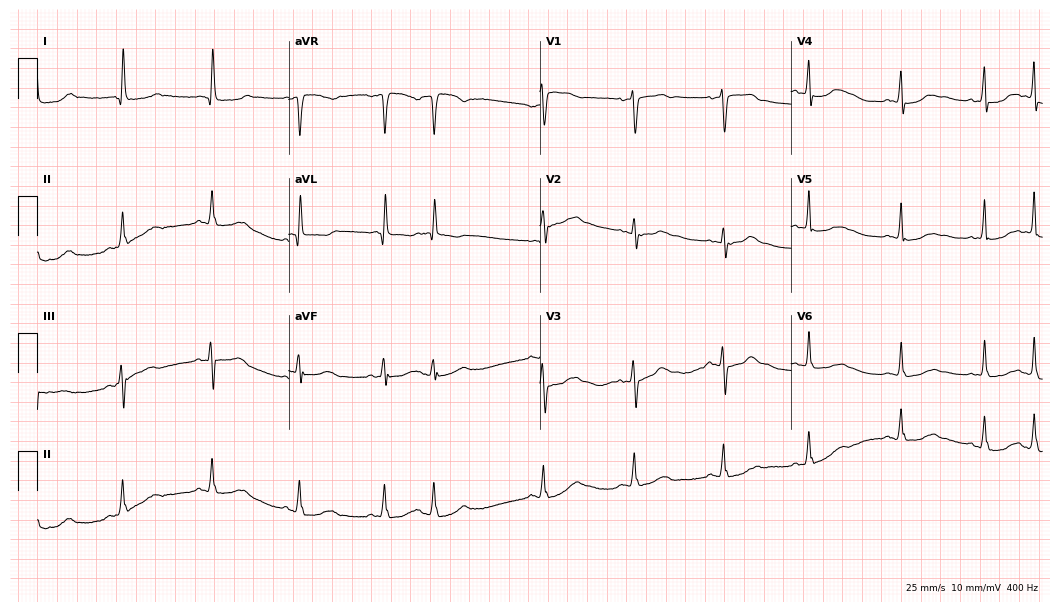
Electrocardiogram (10.2-second recording at 400 Hz), a female, 82 years old. Of the six screened findings (first-degree AV block, right bundle branch block (RBBB), left bundle branch block (LBBB), sinus bradycardia, atrial fibrillation (AF), sinus tachycardia), none is recorded. Findings outside these six are not listed.